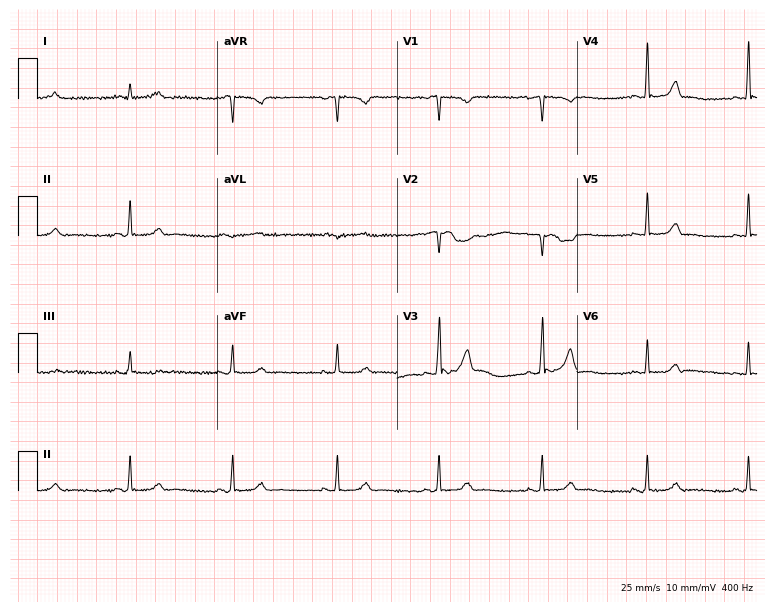
12-lead ECG from a woman, 35 years old. Screened for six findings — first-degree AV block, right bundle branch block (RBBB), left bundle branch block (LBBB), sinus bradycardia, atrial fibrillation (AF), sinus tachycardia — none is recorded. Only these six findings were labelled.